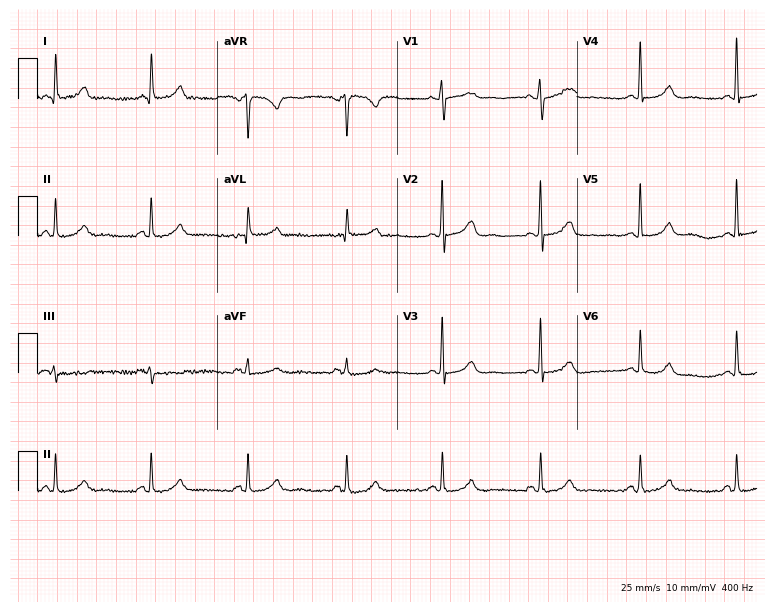
12-lead ECG from a female, 78 years old (7.3-second recording at 400 Hz). Recorded interpretation: within normal limits.